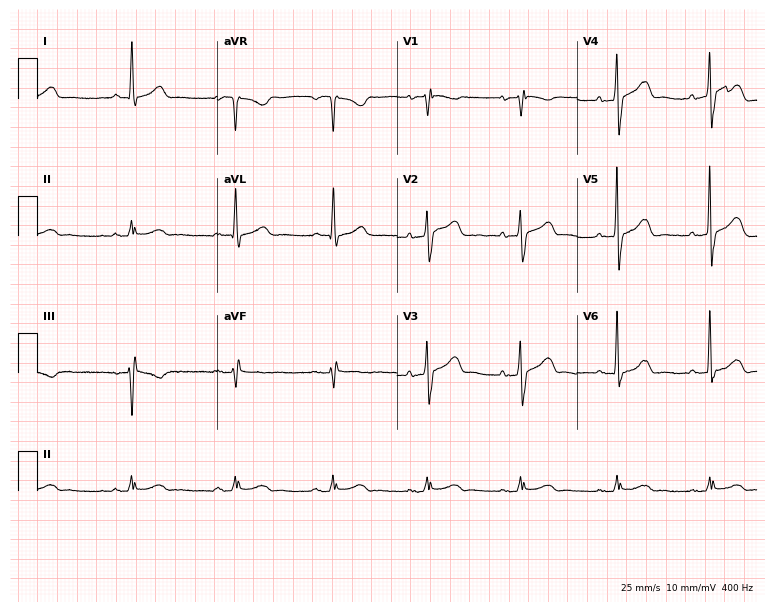
Resting 12-lead electrocardiogram (7.3-second recording at 400 Hz). Patient: a 68-year-old male. None of these six findings is recorded: first-degree AV block, right bundle branch block (RBBB), left bundle branch block (LBBB), sinus bradycardia, atrial fibrillation (AF), sinus tachycardia.